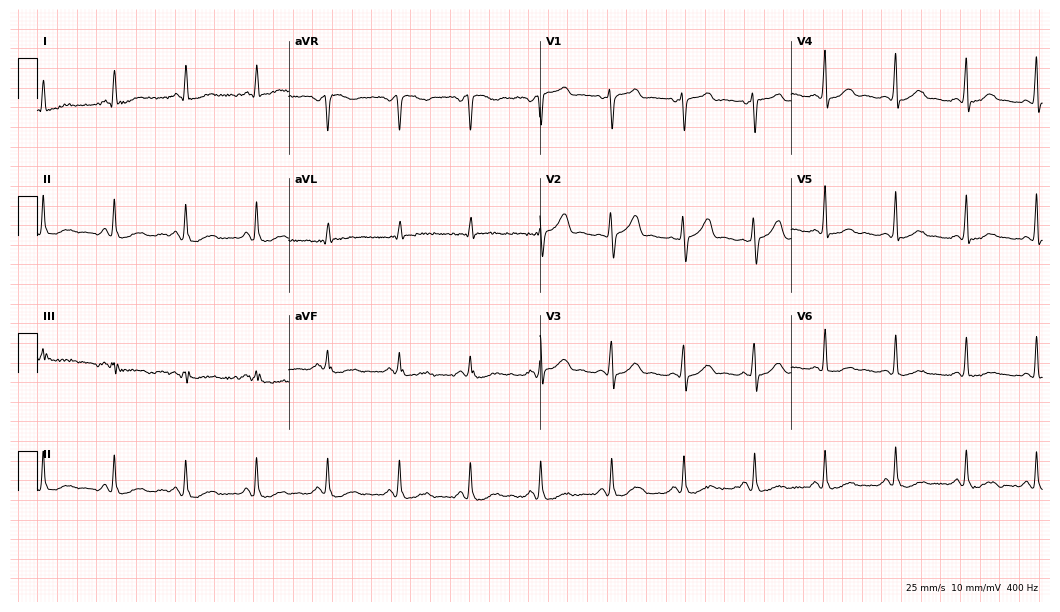
12-lead ECG from a woman, 66 years old. Labelled as a normal ECG.